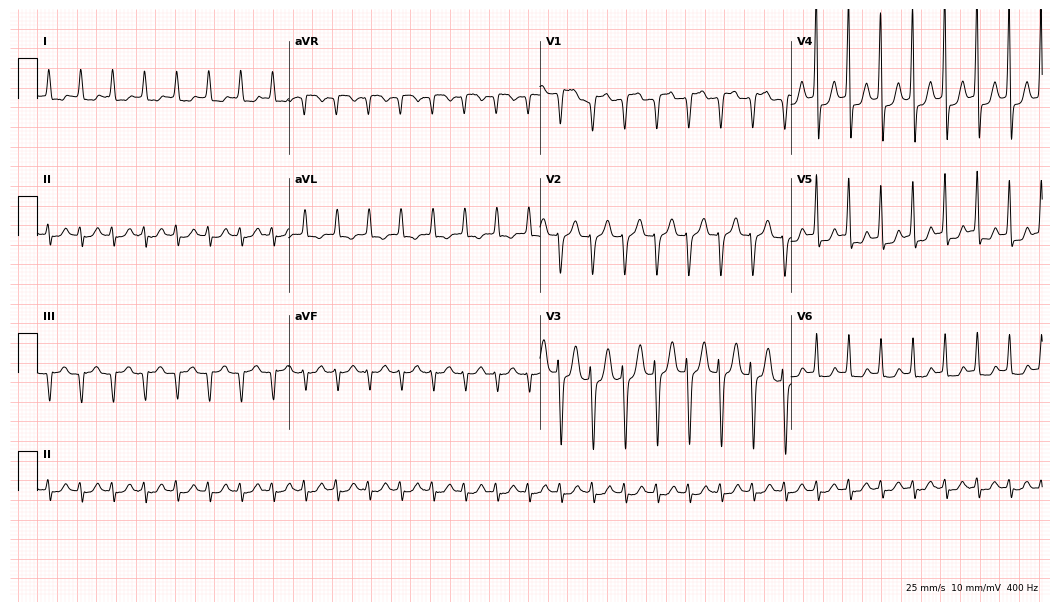
12-lead ECG from a 60-year-old female patient. No first-degree AV block, right bundle branch block, left bundle branch block, sinus bradycardia, atrial fibrillation or sinus tachycardia recorded for this tracing. Other findings, if any, are not listed.